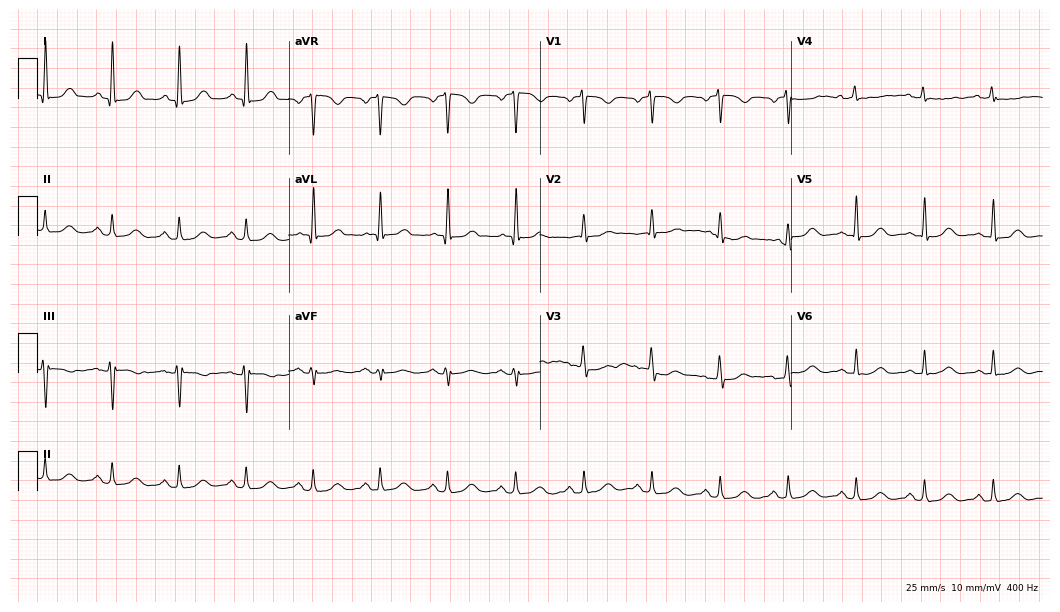
12-lead ECG from a female patient, 44 years old. Screened for six findings — first-degree AV block, right bundle branch block, left bundle branch block, sinus bradycardia, atrial fibrillation, sinus tachycardia — none is recorded.